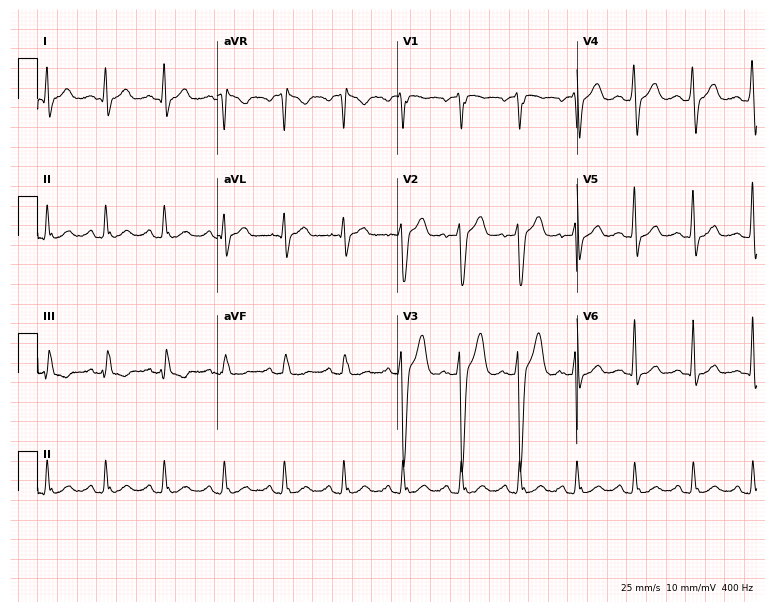
ECG — a 36-year-old man. Screened for six findings — first-degree AV block, right bundle branch block, left bundle branch block, sinus bradycardia, atrial fibrillation, sinus tachycardia — none is recorded. Other findings, if any, are not listed.